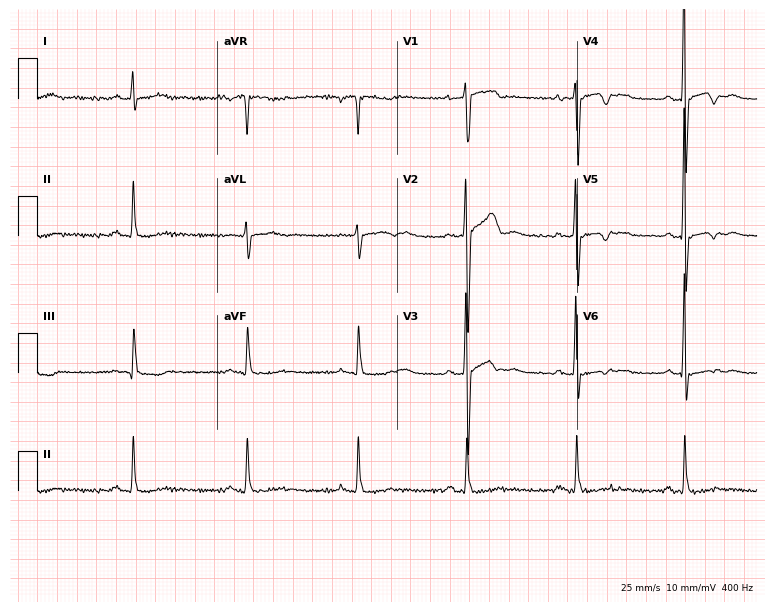
Electrocardiogram, a male, 41 years old. Of the six screened findings (first-degree AV block, right bundle branch block, left bundle branch block, sinus bradycardia, atrial fibrillation, sinus tachycardia), none is recorded.